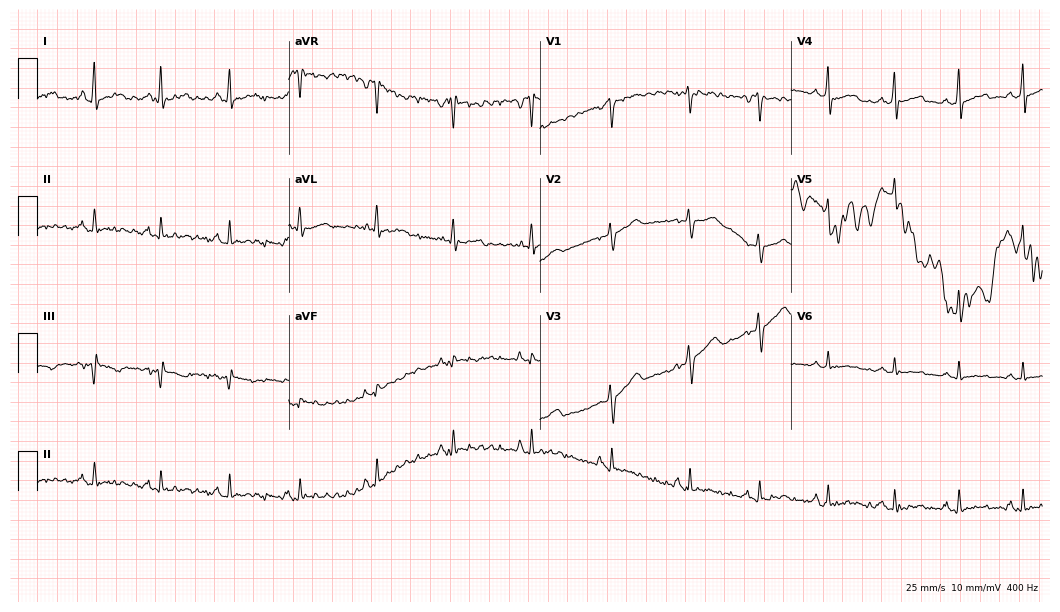
Resting 12-lead electrocardiogram. Patient: a 49-year-old woman. None of these six findings is recorded: first-degree AV block, right bundle branch block (RBBB), left bundle branch block (LBBB), sinus bradycardia, atrial fibrillation (AF), sinus tachycardia.